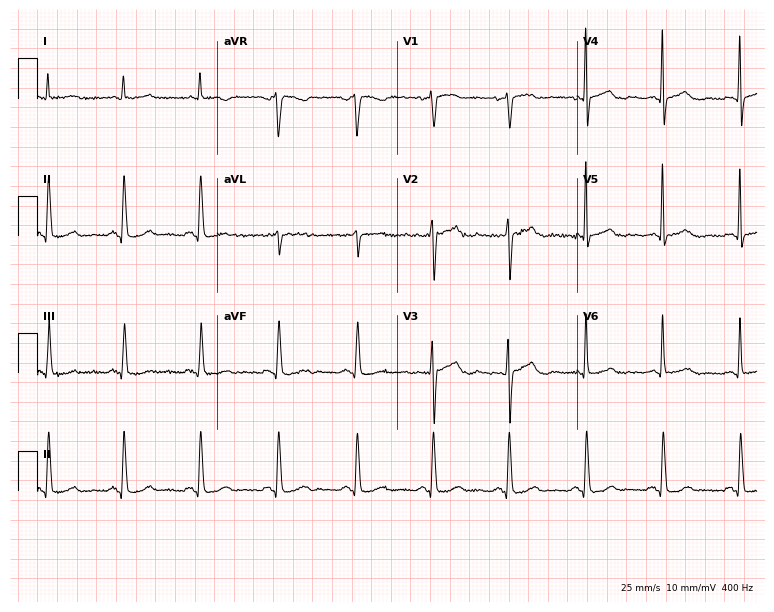
Resting 12-lead electrocardiogram. Patient: a 71-year-old female. Read as a normal ECG.